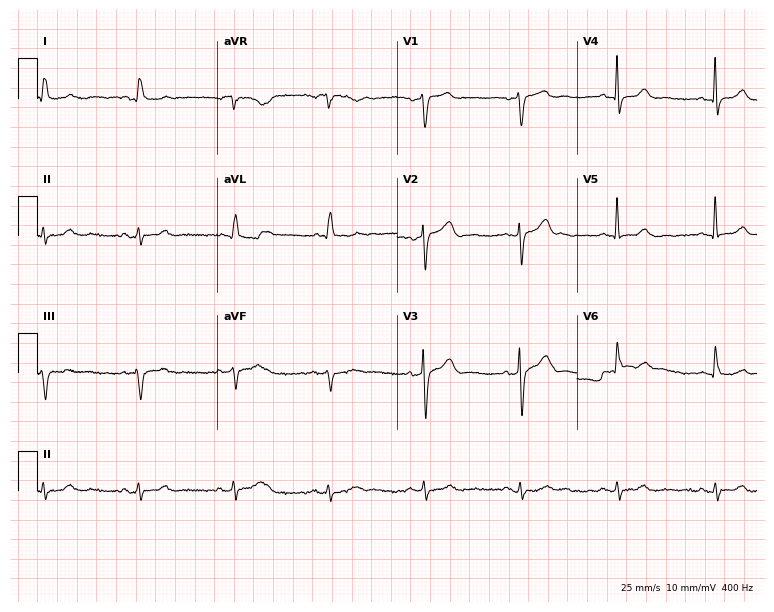
12-lead ECG (7.3-second recording at 400 Hz) from an 82-year-old male patient. Screened for six findings — first-degree AV block, right bundle branch block, left bundle branch block, sinus bradycardia, atrial fibrillation, sinus tachycardia — none is recorded. Other findings, if any, are not listed.